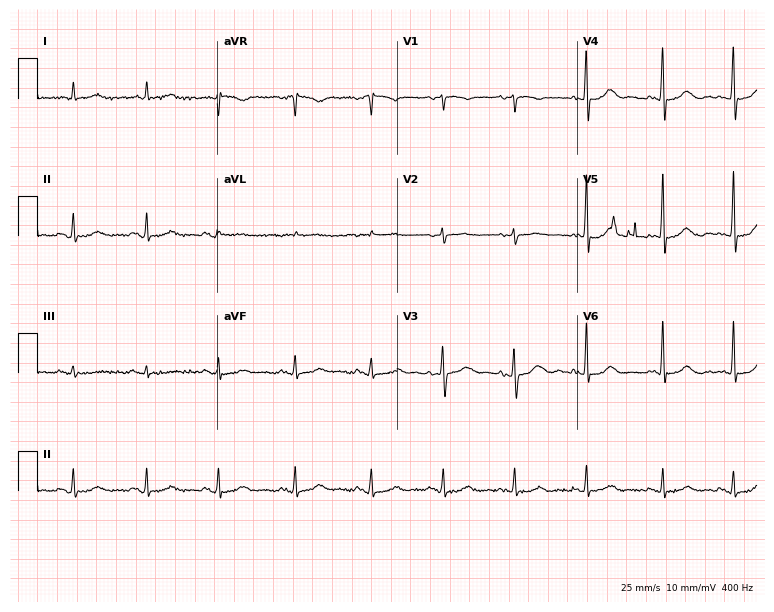
Electrocardiogram (7.3-second recording at 400 Hz), an 85-year-old man. Overall reading on record: normal ECG.